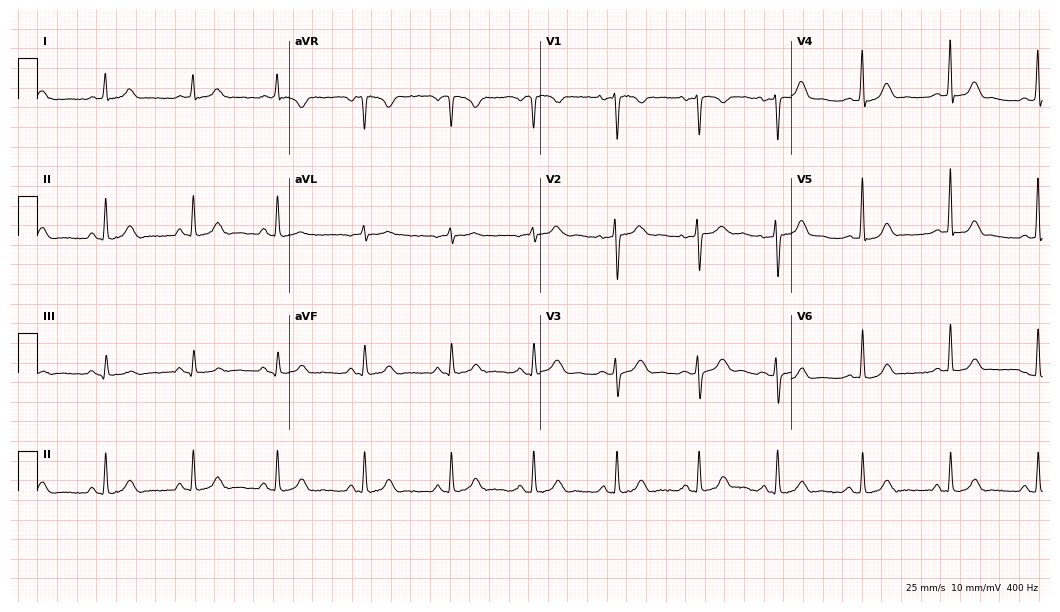
ECG — a 42-year-old woman. Labelled as a normal ECG.